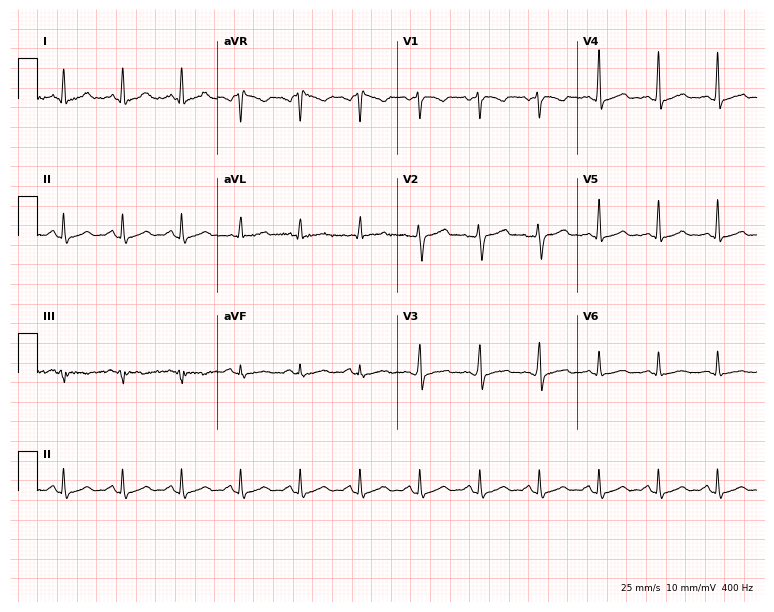
12-lead ECG (7.3-second recording at 400 Hz) from a 30-year-old woman. Labelled as a normal ECG.